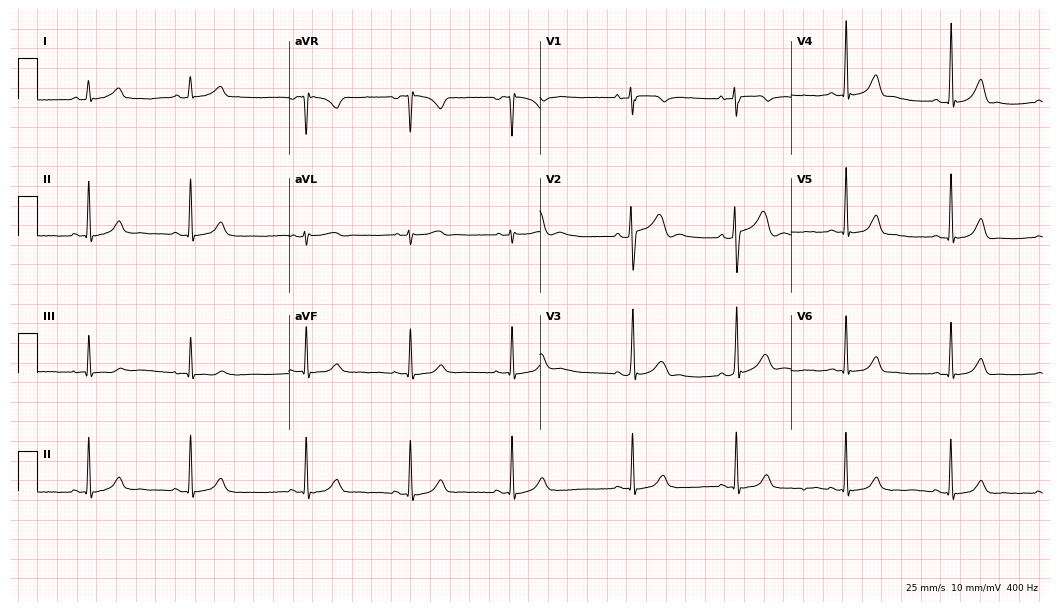
Resting 12-lead electrocardiogram. Patient: a female, 24 years old. Read as a normal ECG.